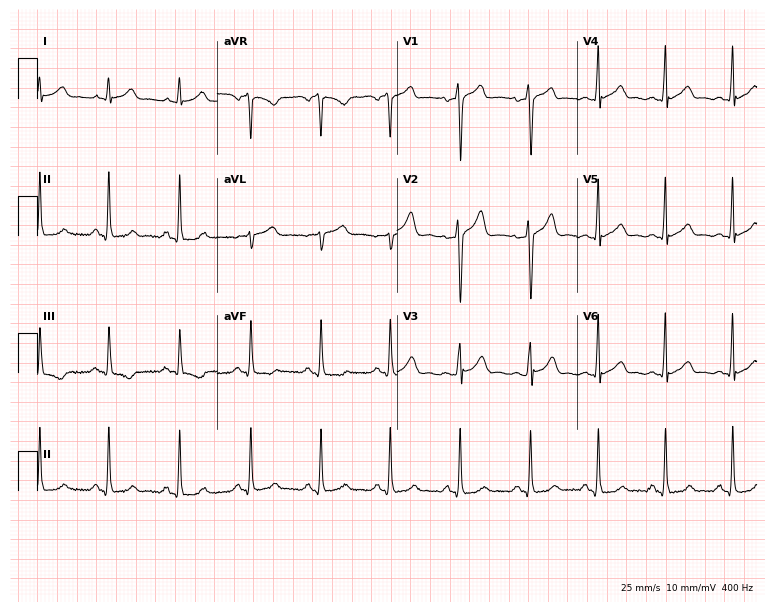
ECG (7.3-second recording at 400 Hz) — a man, 25 years old. Labelled as a normal ECG.